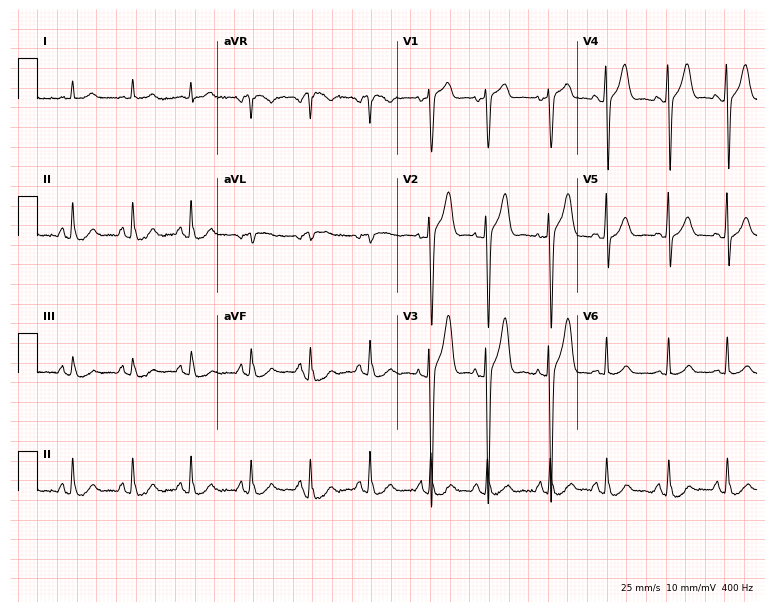
Standard 12-lead ECG recorded from a 67-year-old male. Read as a normal ECG.